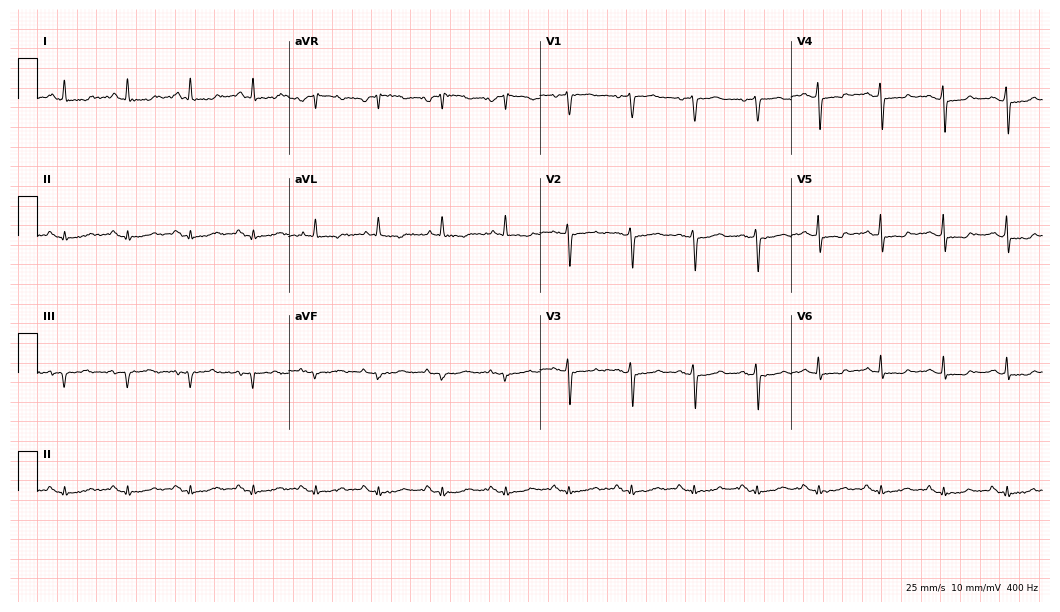
ECG (10.2-second recording at 400 Hz) — a 50-year-old female. Screened for six findings — first-degree AV block, right bundle branch block, left bundle branch block, sinus bradycardia, atrial fibrillation, sinus tachycardia — none is recorded.